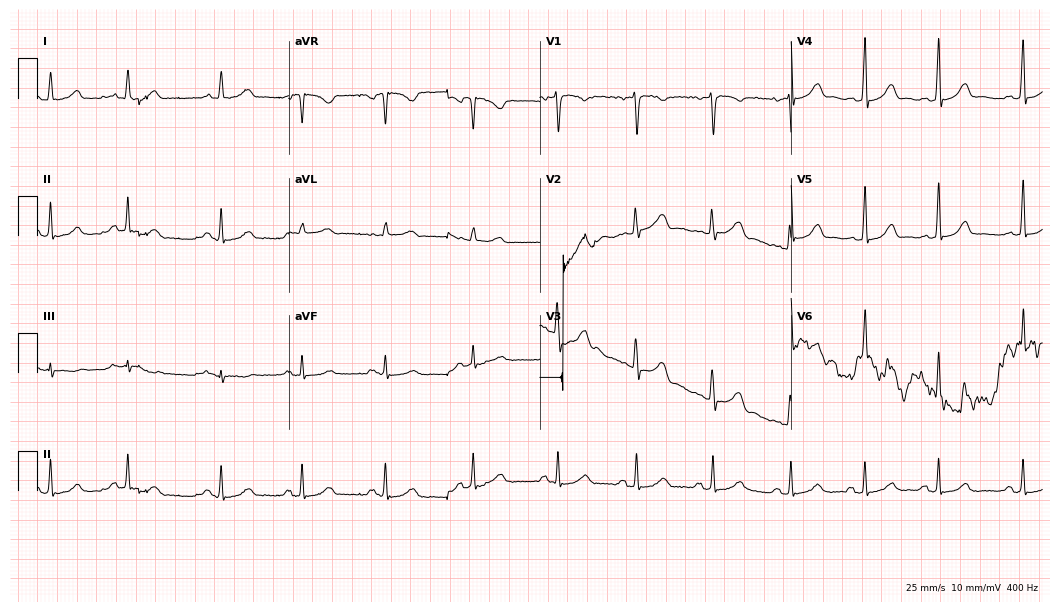
ECG (10.2-second recording at 400 Hz) — a 34-year-old female. Labelled as a normal ECG.